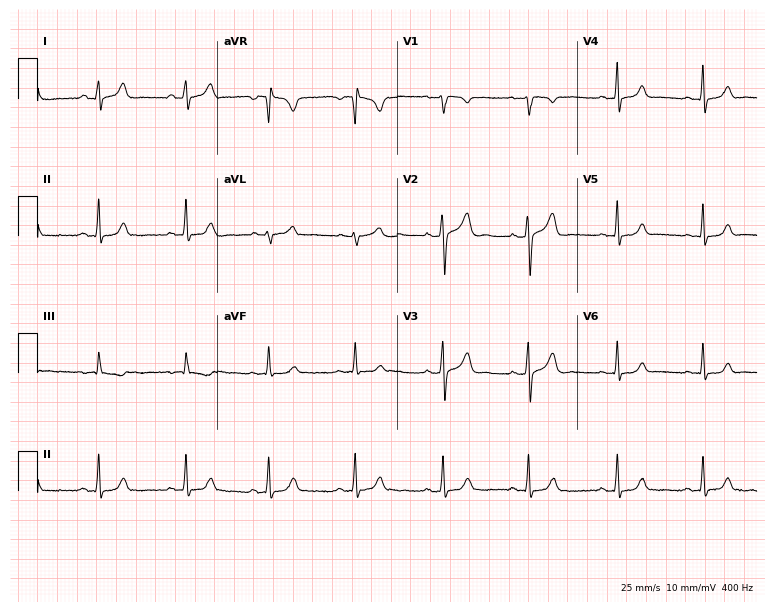
Standard 12-lead ECG recorded from a woman, 30 years old (7.3-second recording at 400 Hz). Read as a normal ECG.